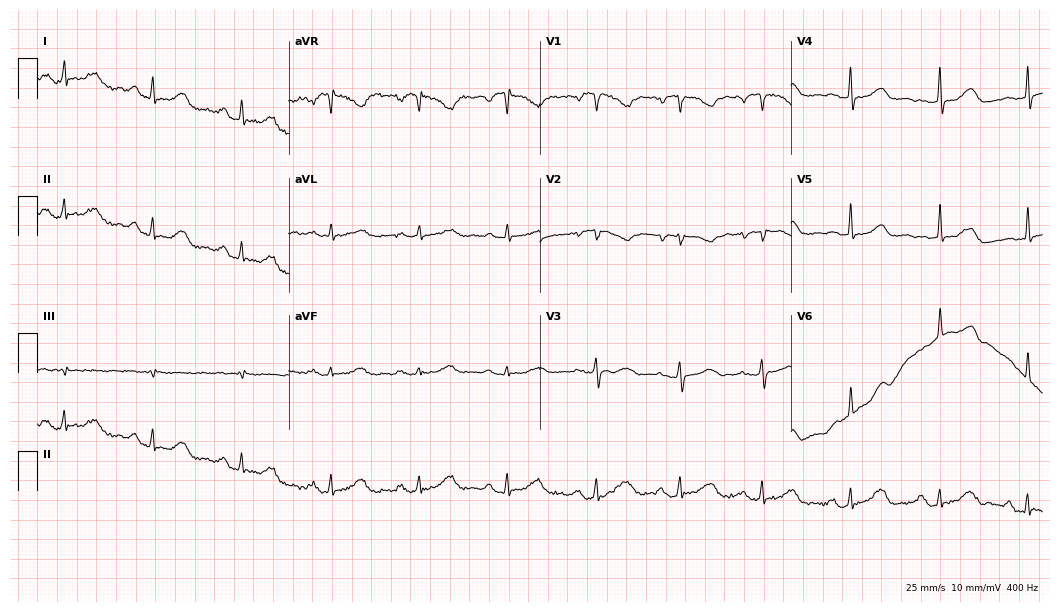
Resting 12-lead electrocardiogram (10.2-second recording at 400 Hz). Patient: a female, 79 years old. Read as a normal ECG.